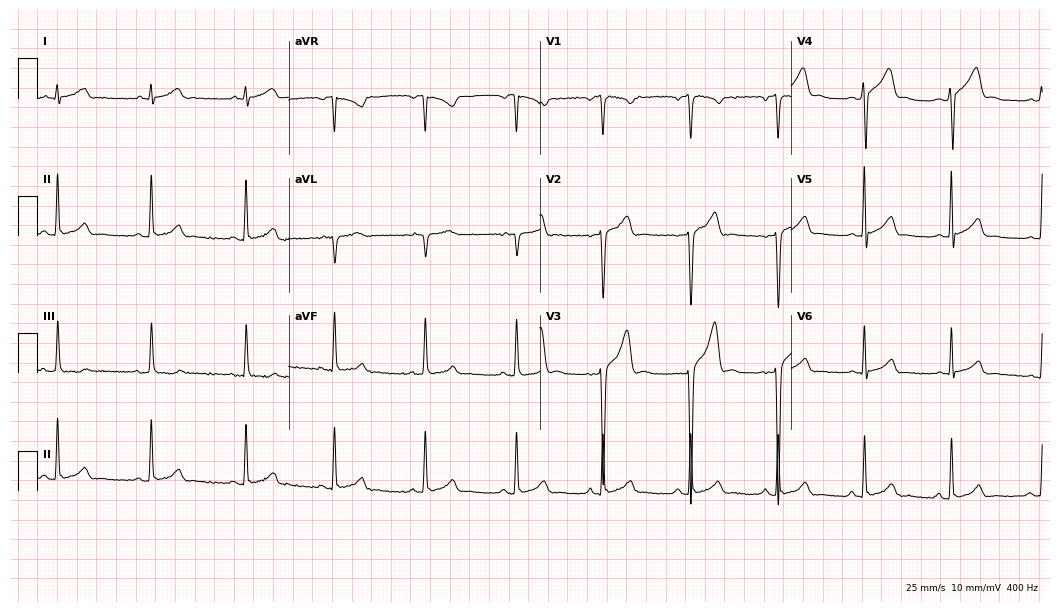
Resting 12-lead electrocardiogram (10.2-second recording at 400 Hz). Patient: a male, 21 years old. Read as a normal ECG.